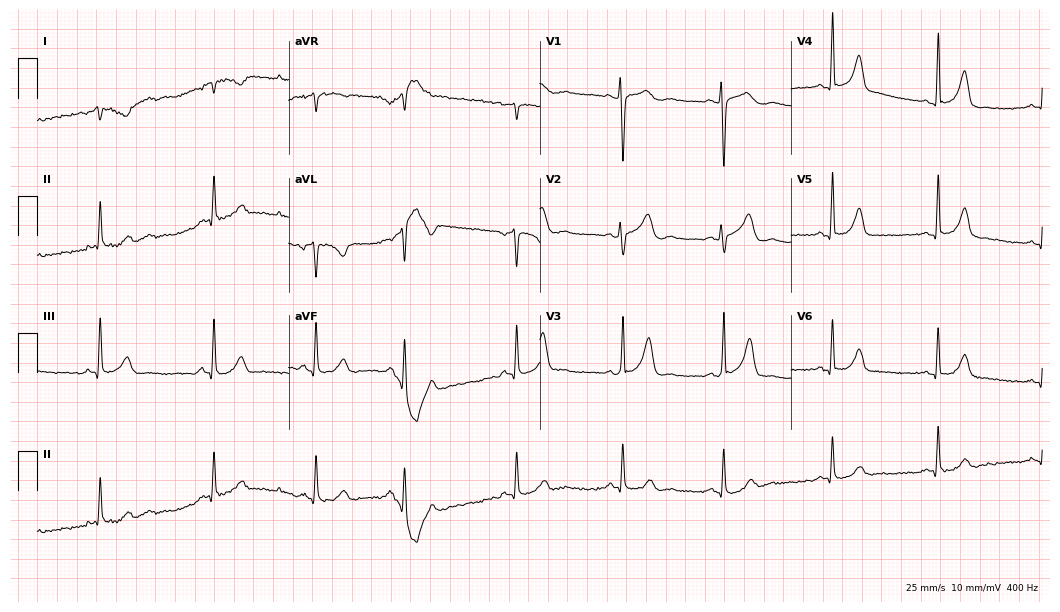
Standard 12-lead ECG recorded from an 84-year-old female. Read as a normal ECG.